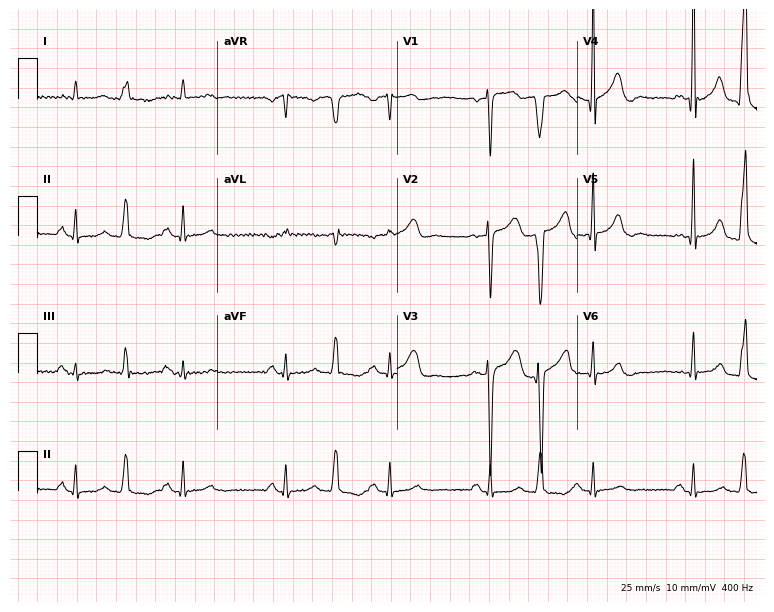
Electrocardiogram (7.3-second recording at 400 Hz), a 64-year-old man. Of the six screened findings (first-degree AV block, right bundle branch block, left bundle branch block, sinus bradycardia, atrial fibrillation, sinus tachycardia), none is recorded. Only these six findings were labelled.